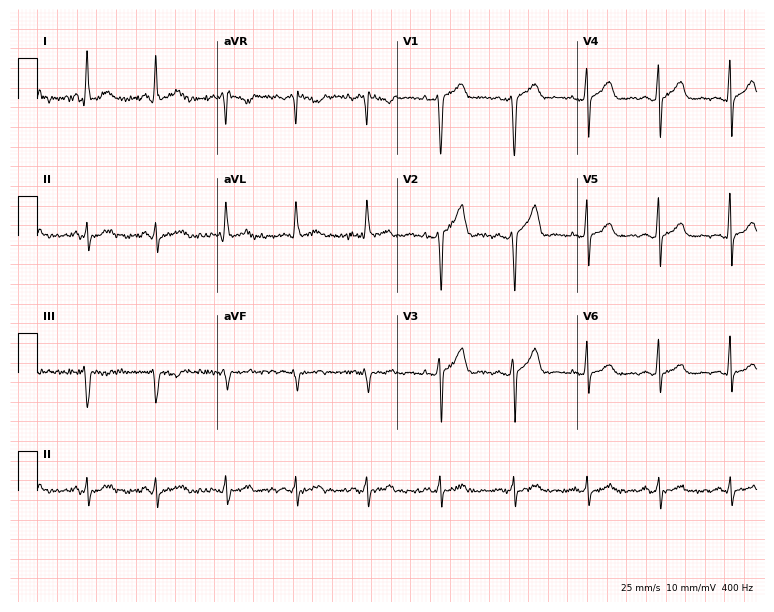
Standard 12-lead ECG recorded from a male, 41 years old (7.3-second recording at 400 Hz). None of these six findings is recorded: first-degree AV block, right bundle branch block, left bundle branch block, sinus bradycardia, atrial fibrillation, sinus tachycardia.